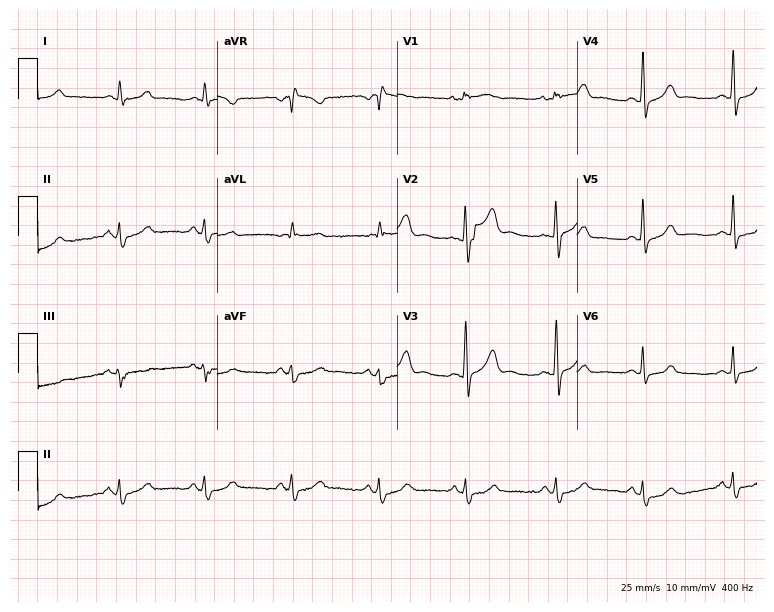
Standard 12-lead ECG recorded from a 37-year-old woman. None of these six findings is recorded: first-degree AV block, right bundle branch block (RBBB), left bundle branch block (LBBB), sinus bradycardia, atrial fibrillation (AF), sinus tachycardia.